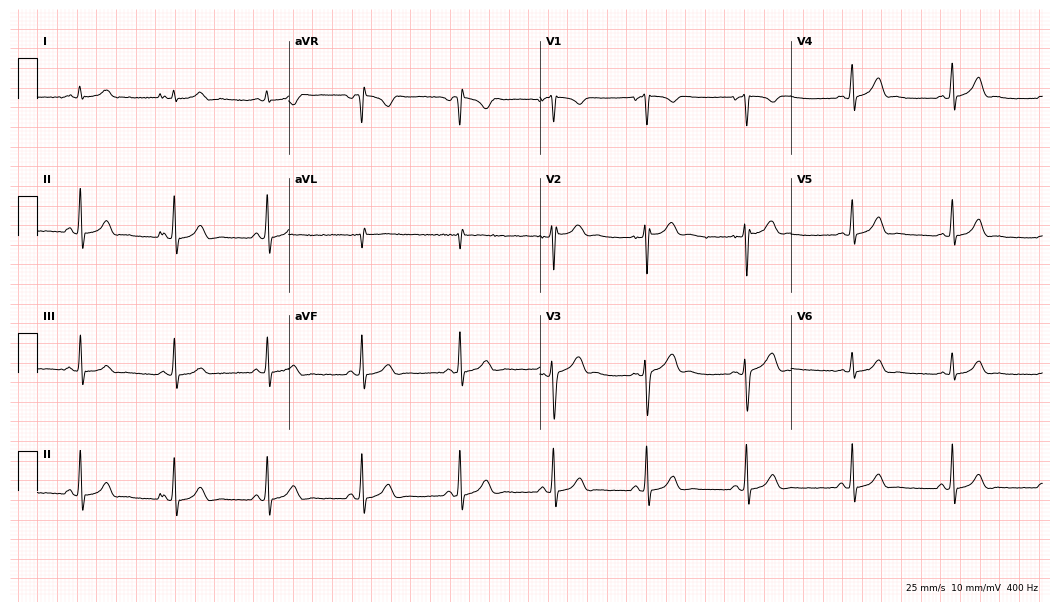
Resting 12-lead electrocardiogram. Patient: a male, 24 years old. None of these six findings is recorded: first-degree AV block, right bundle branch block, left bundle branch block, sinus bradycardia, atrial fibrillation, sinus tachycardia. Other findings, if any, are not listed.